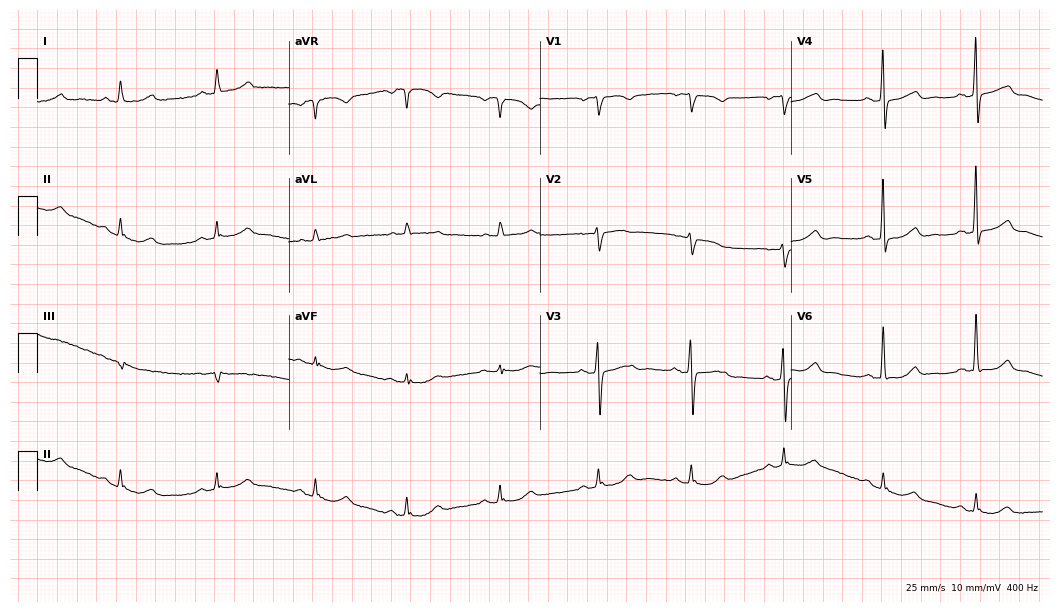
ECG (10.2-second recording at 400 Hz) — a female, 70 years old. Screened for six findings — first-degree AV block, right bundle branch block (RBBB), left bundle branch block (LBBB), sinus bradycardia, atrial fibrillation (AF), sinus tachycardia — none is recorded. Other findings, if any, are not listed.